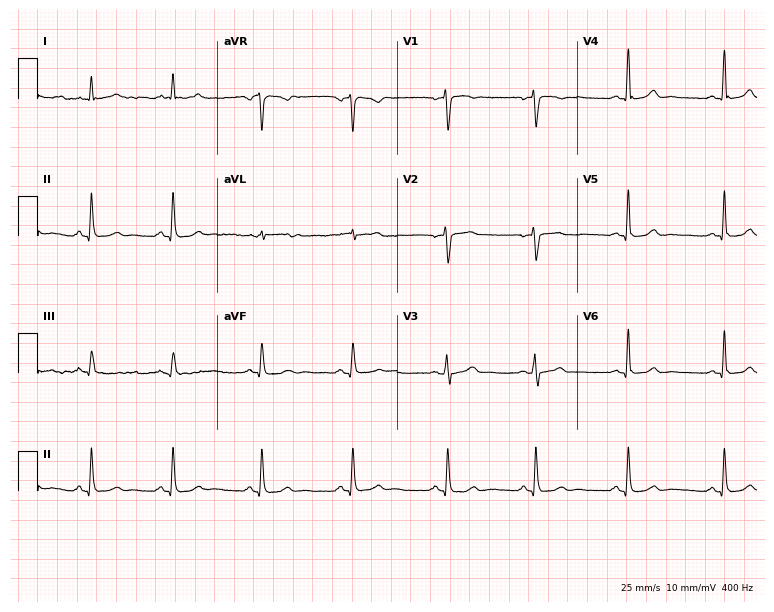
ECG — a woman, 38 years old. Labelled as a normal ECG.